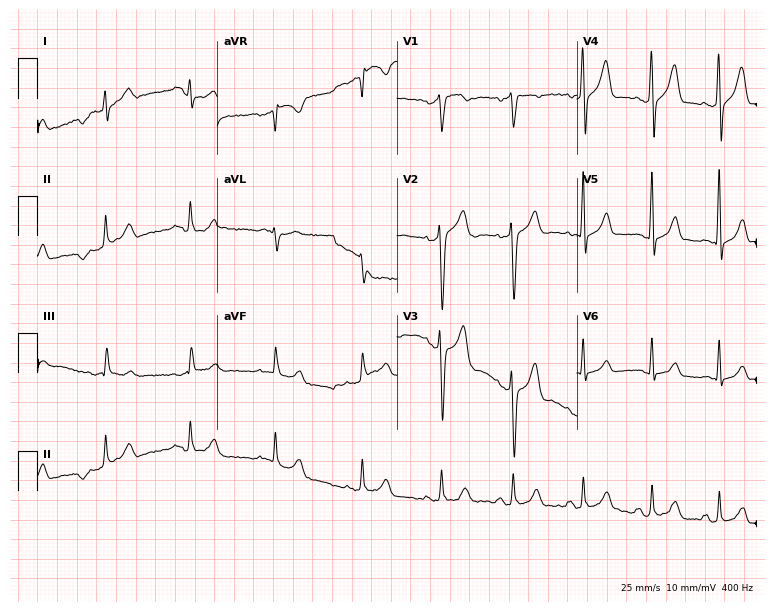
Standard 12-lead ECG recorded from a man, 32 years old (7.3-second recording at 400 Hz). None of these six findings is recorded: first-degree AV block, right bundle branch block, left bundle branch block, sinus bradycardia, atrial fibrillation, sinus tachycardia. Findings outside these six are not listed.